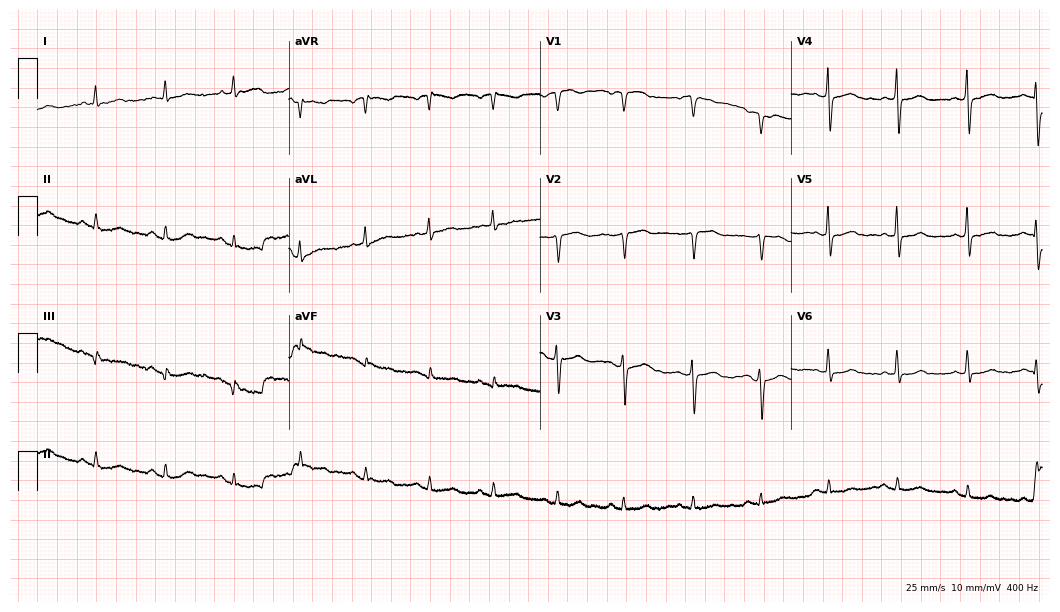
Electrocardiogram, a 62-year-old male patient. Of the six screened findings (first-degree AV block, right bundle branch block, left bundle branch block, sinus bradycardia, atrial fibrillation, sinus tachycardia), none is recorded. Other findings, if any, are not listed.